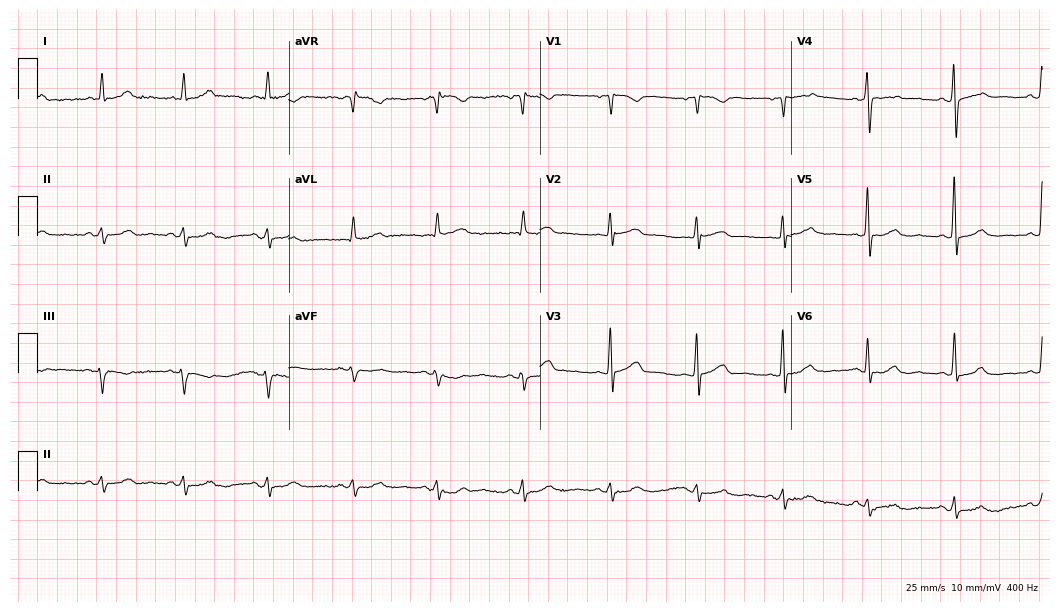
12-lead ECG from a female, 55 years old. Screened for six findings — first-degree AV block, right bundle branch block, left bundle branch block, sinus bradycardia, atrial fibrillation, sinus tachycardia — none is recorded. Only these six findings were labelled.